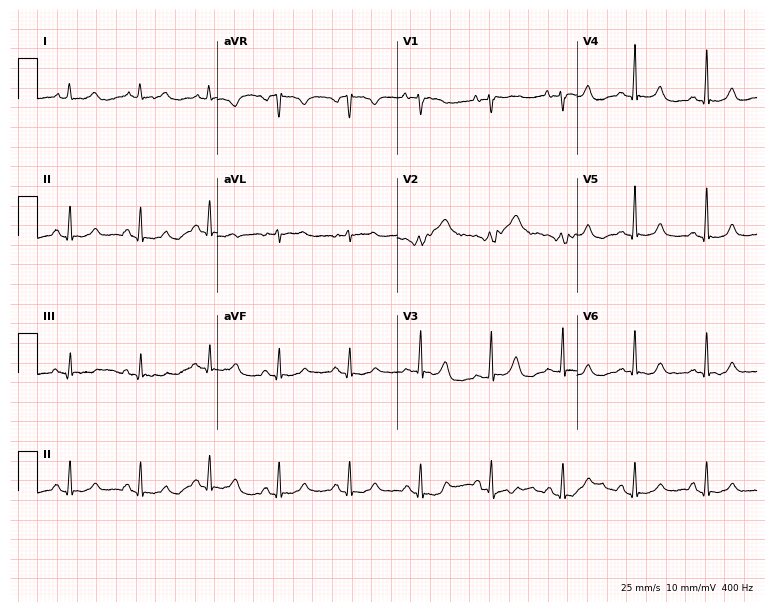
12-lead ECG from a 77-year-old female patient (7.3-second recording at 400 Hz). Recorded interpretation: within normal limits.